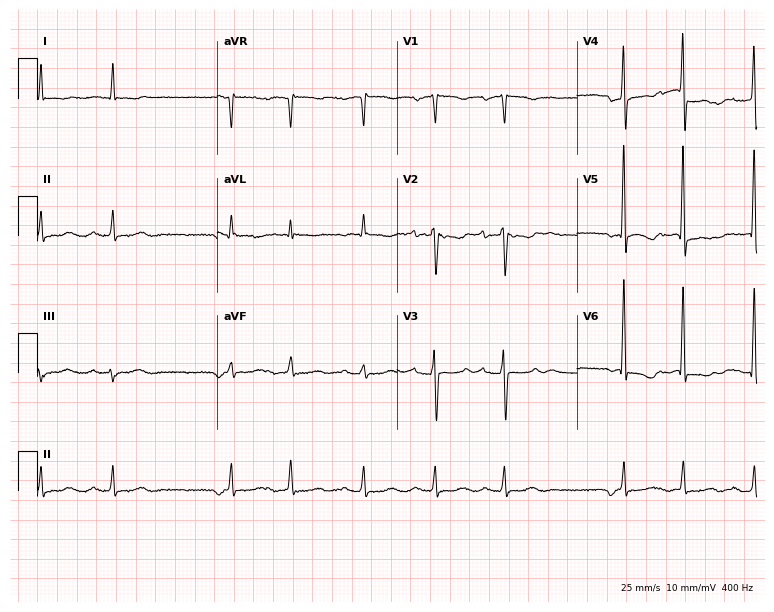
Resting 12-lead electrocardiogram (7.3-second recording at 400 Hz). Patient: a woman, 80 years old. None of these six findings is recorded: first-degree AV block, right bundle branch block, left bundle branch block, sinus bradycardia, atrial fibrillation, sinus tachycardia. Only these six findings were labelled.